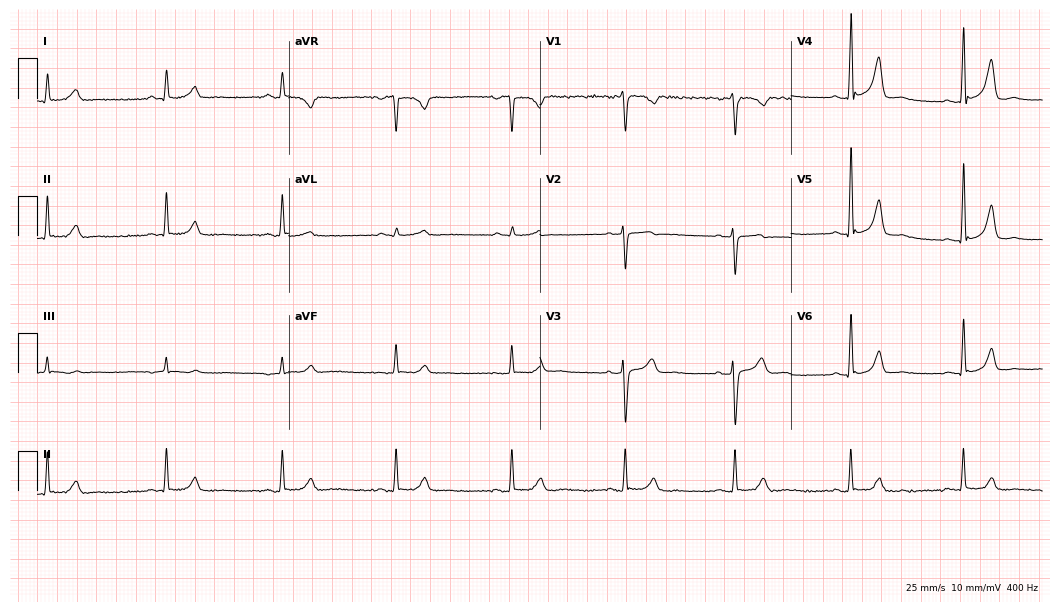
12-lead ECG from a 49-year-old male patient (10.2-second recording at 400 Hz). No first-degree AV block, right bundle branch block (RBBB), left bundle branch block (LBBB), sinus bradycardia, atrial fibrillation (AF) or sinus tachycardia recorded for this tracing.